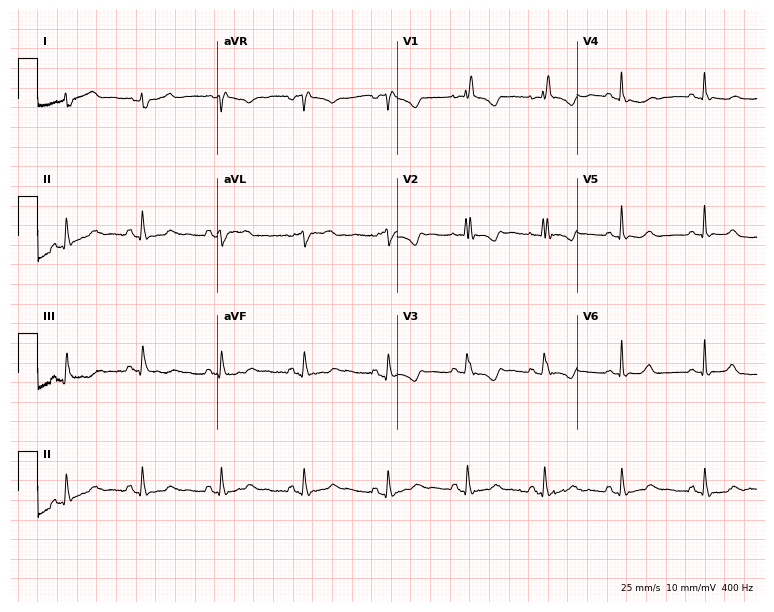
ECG (7.3-second recording at 400 Hz) — a 41-year-old female. Screened for six findings — first-degree AV block, right bundle branch block, left bundle branch block, sinus bradycardia, atrial fibrillation, sinus tachycardia — none is recorded.